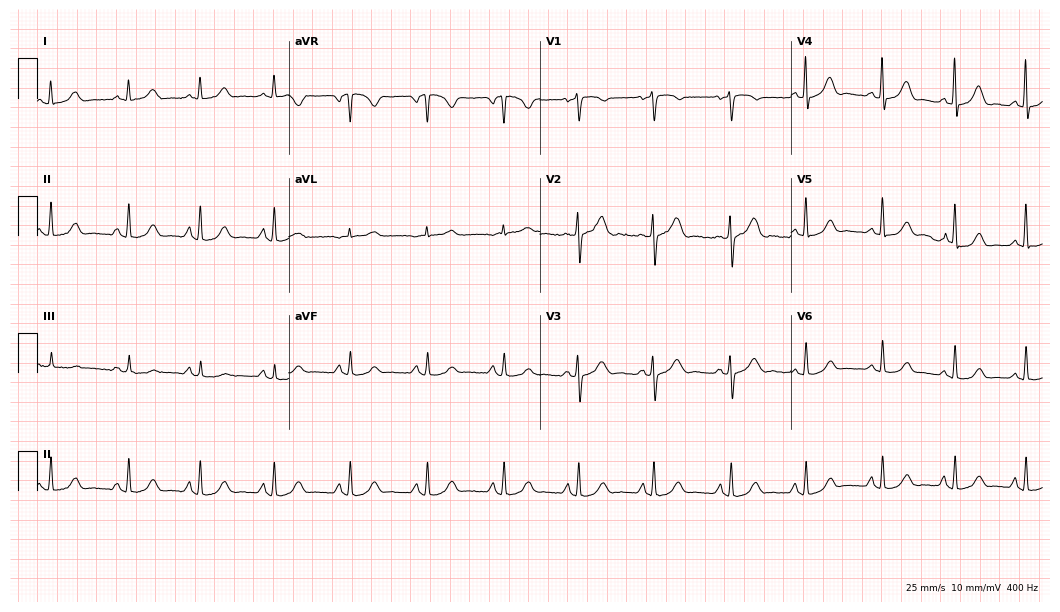
Standard 12-lead ECG recorded from a female patient, 67 years old (10.2-second recording at 400 Hz). Read as a normal ECG.